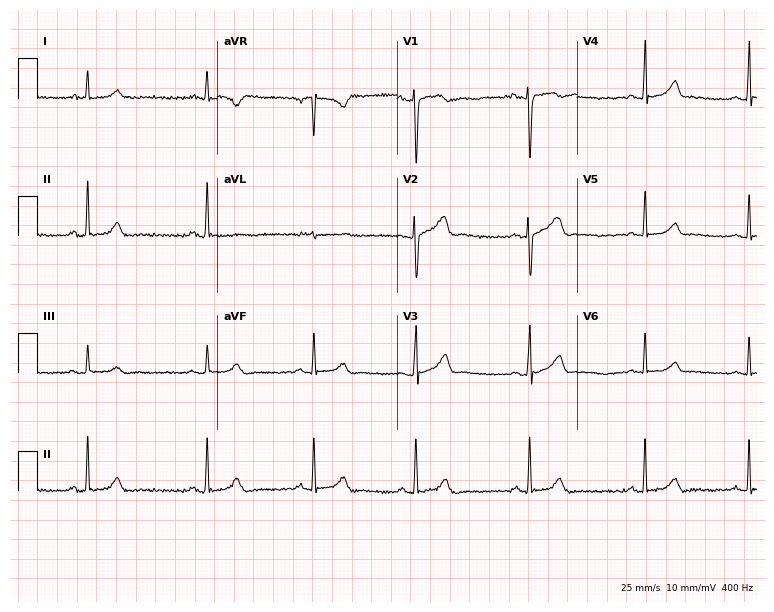
Electrocardiogram (7.3-second recording at 400 Hz), a 33-year-old woman. Overall reading on record: normal ECG.